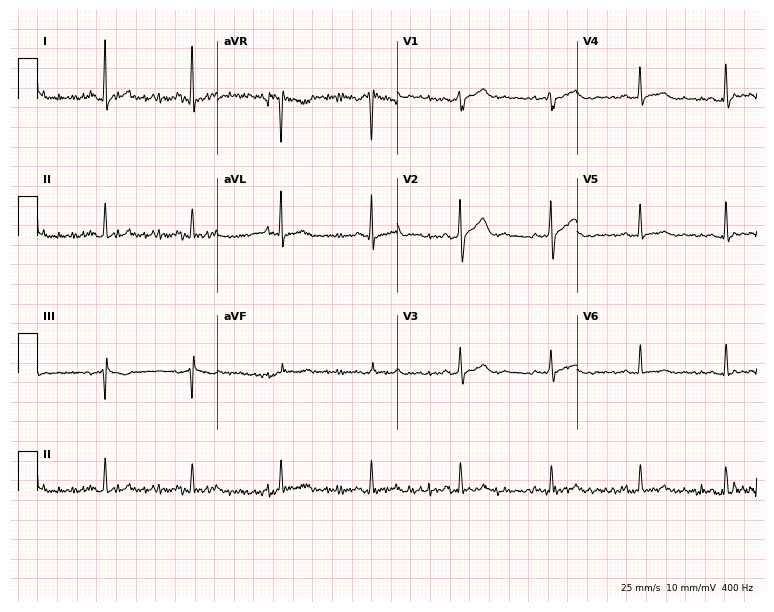
12-lead ECG from a male patient, 55 years old. Recorded interpretation: within normal limits.